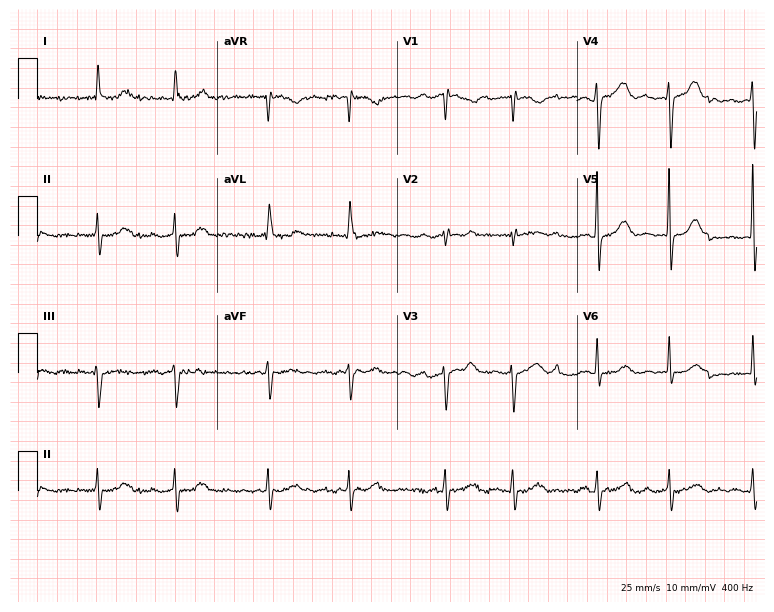
12-lead ECG from a female patient, 79 years old (7.3-second recording at 400 Hz). Shows atrial fibrillation.